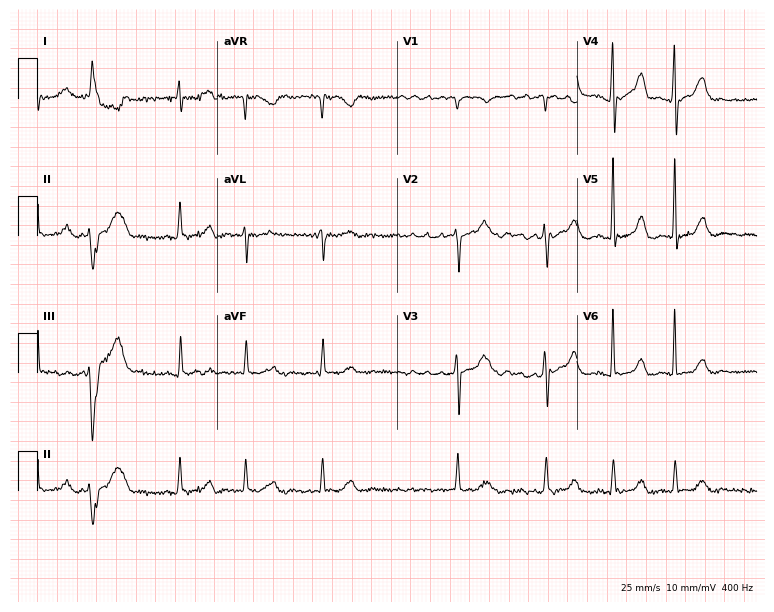
Standard 12-lead ECG recorded from a 59-year-old female patient (7.3-second recording at 400 Hz). The tracing shows atrial fibrillation (AF).